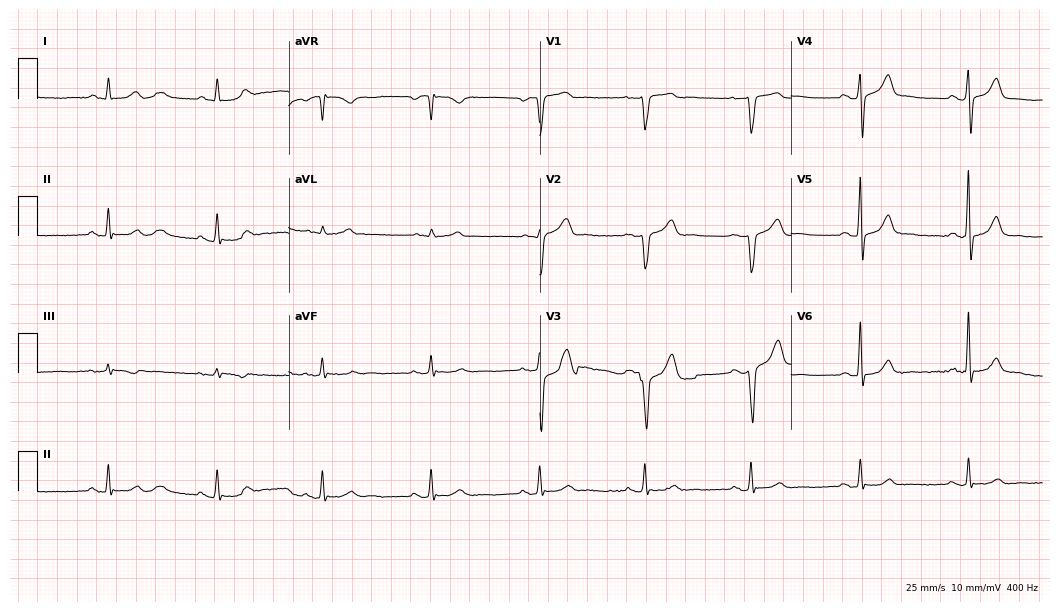
Resting 12-lead electrocardiogram. Patient: a 78-year-old man. None of these six findings is recorded: first-degree AV block, right bundle branch block, left bundle branch block, sinus bradycardia, atrial fibrillation, sinus tachycardia.